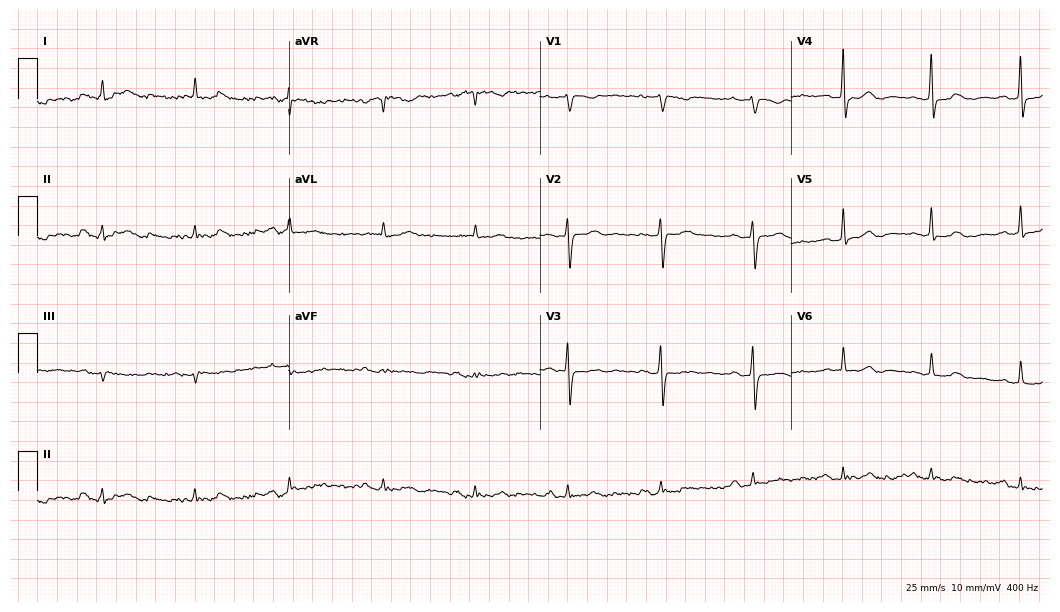
ECG (10.2-second recording at 400 Hz) — a female patient, 77 years old. Labelled as a normal ECG.